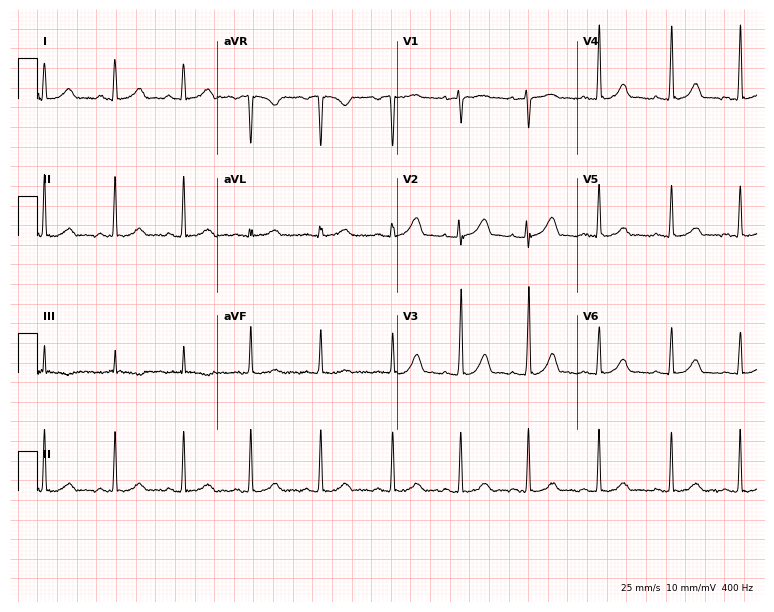
Electrocardiogram, a female patient, 39 years old. Overall reading on record: normal ECG.